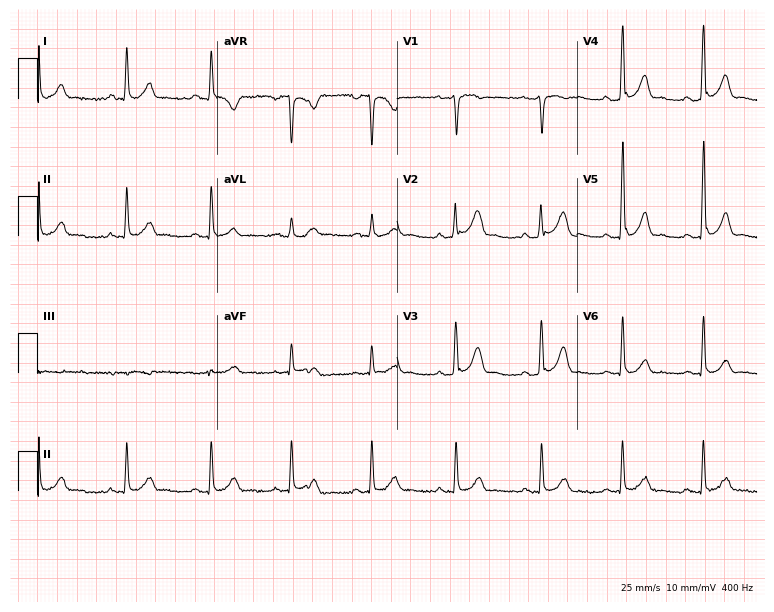
Standard 12-lead ECG recorded from a 33-year-old male (7.3-second recording at 400 Hz). None of these six findings is recorded: first-degree AV block, right bundle branch block (RBBB), left bundle branch block (LBBB), sinus bradycardia, atrial fibrillation (AF), sinus tachycardia. Other findings, if any, are not listed.